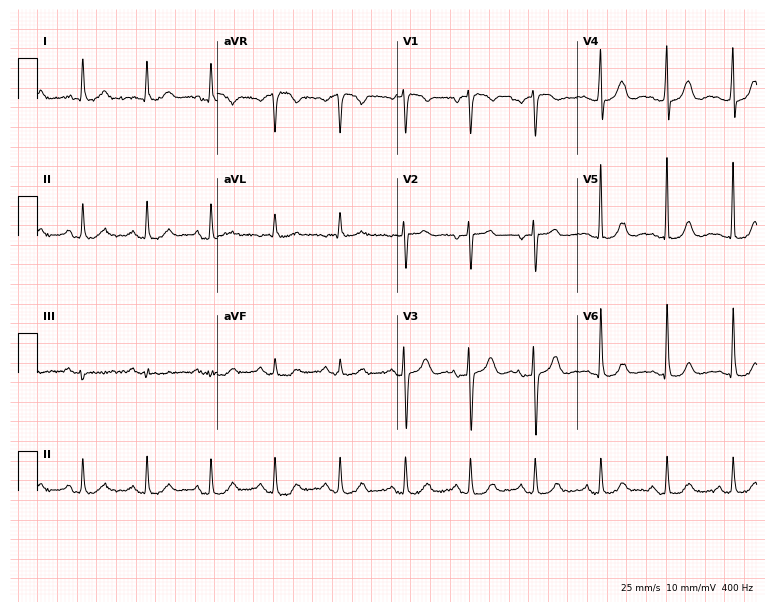
12-lead ECG (7.3-second recording at 400 Hz) from a 73-year-old woman. Screened for six findings — first-degree AV block, right bundle branch block, left bundle branch block, sinus bradycardia, atrial fibrillation, sinus tachycardia — none is recorded.